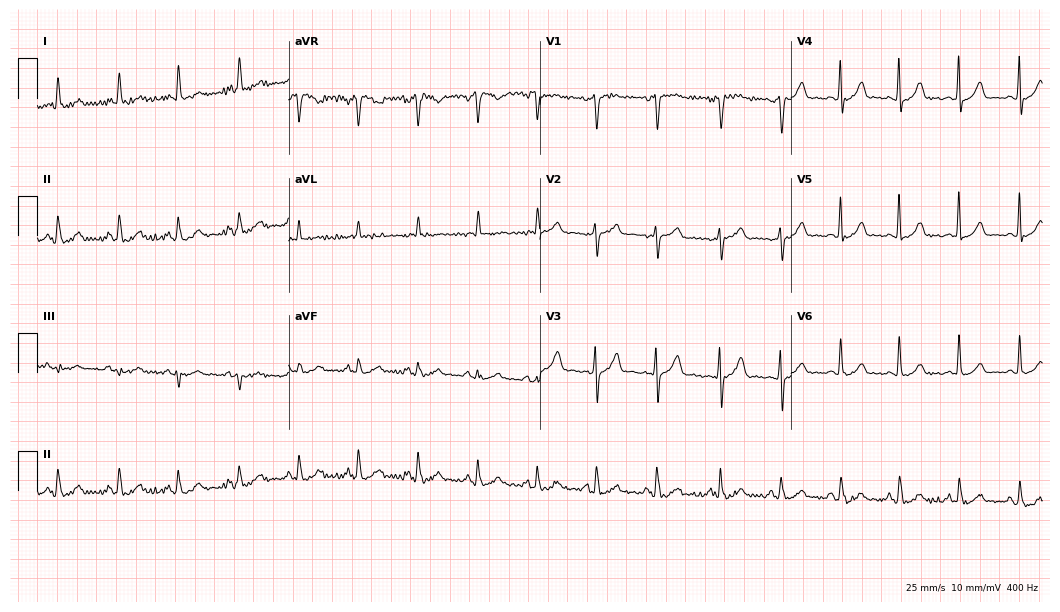
Resting 12-lead electrocardiogram (10.2-second recording at 400 Hz). Patient: a 63-year-old female. None of these six findings is recorded: first-degree AV block, right bundle branch block (RBBB), left bundle branch block (LBBB), sinus bradycardia, atrial fibrillation (AF), sinus tachycardia.